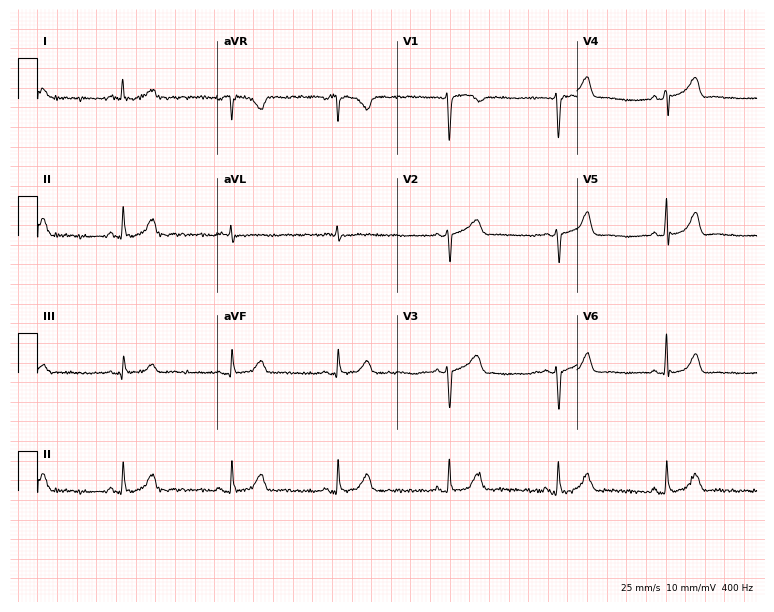
ECG — a woman, 53 years old. Labelled as a normal ECG.